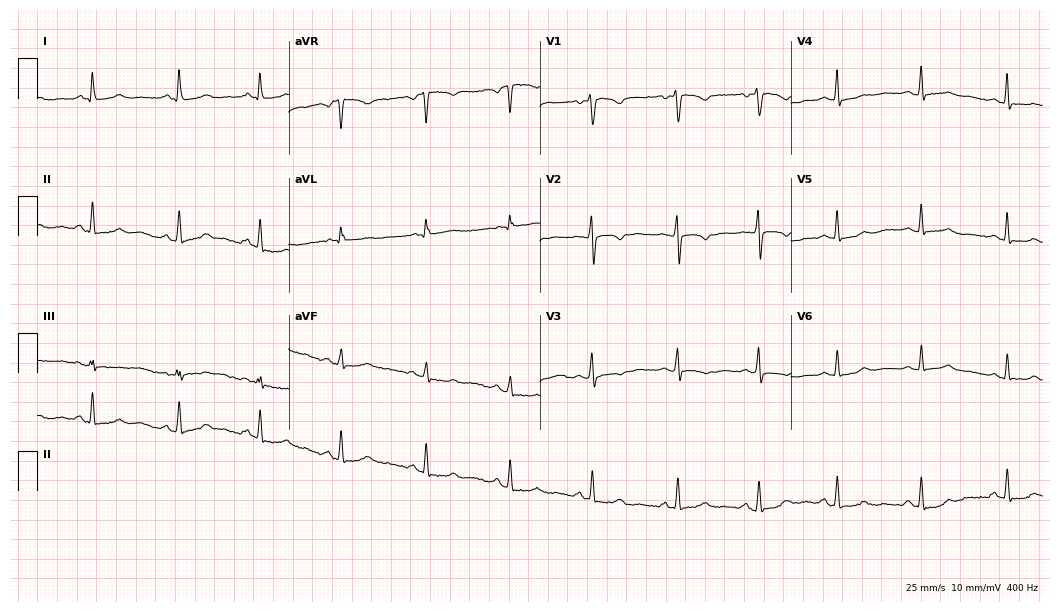
Resting 12-lead electrocardiogram (10.2-second recording at 400 Hz). Patient: a female, 23 years old. None of these six findings is recorded: first-degree AV block, right bundle branch block, left bundle branch block, sinus bradycardia, atrial fibrillation, sinus tachycardia. Other findings, if any, are not listed.